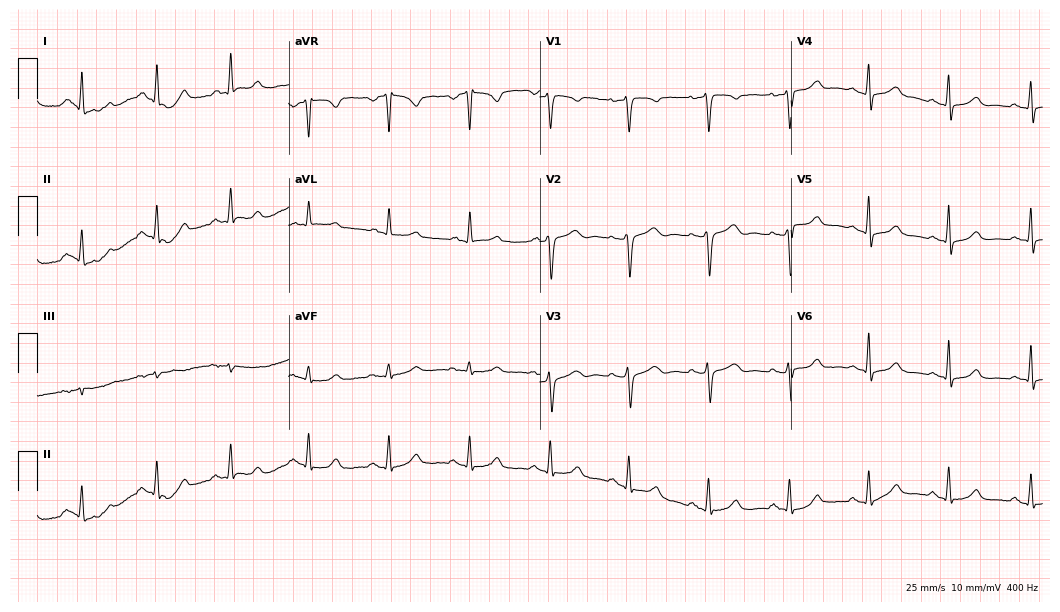
Electrocardiogram (10.2-second recording at 400 Hz), a female patient, 58 years old. Overall reading on record: normal ECG.